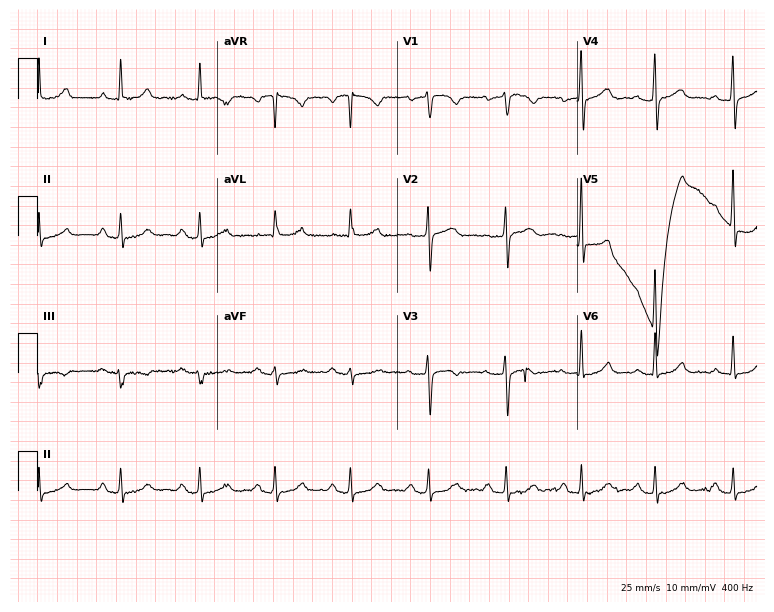
Electrocardiogram, a 69-year-old woman. Interpretation includes first-degree AV block.